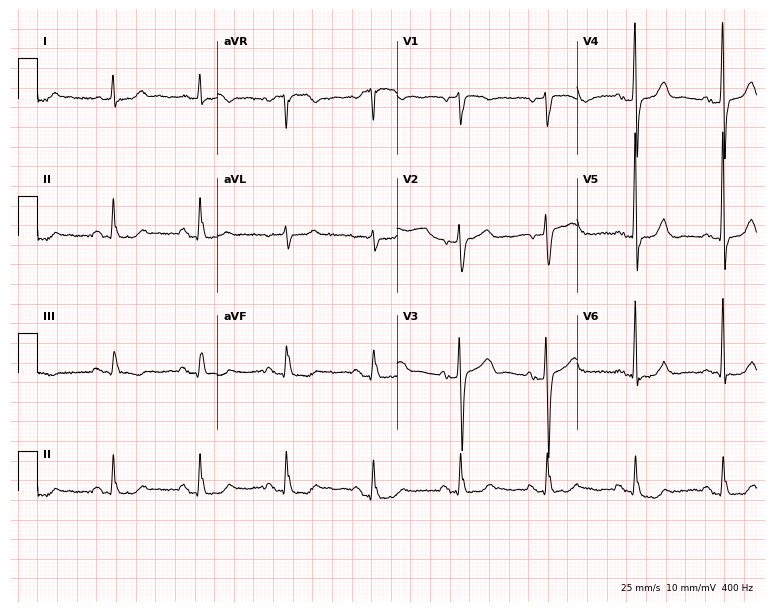
12-lead ECG from a male patient, 74 years old (7.3-second recording at 400 Hz). Recorded interpretation: within normal limits.